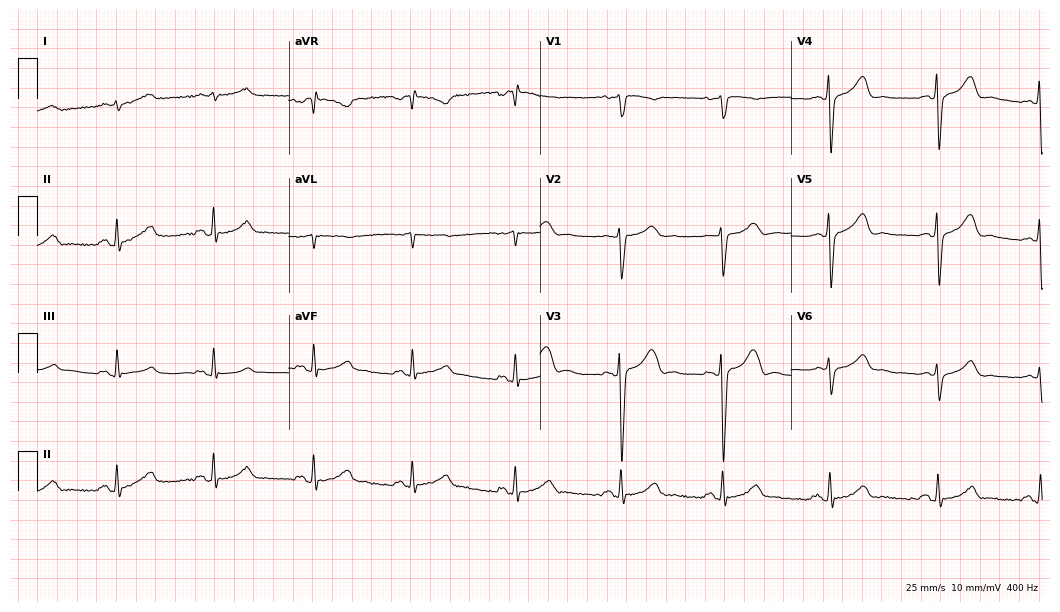
12-lead ECG from a man, 48 years old. No first-degree AV block, right bundle branch block, left bundle branch block, sinus bradycardia, atrial fibrillation or sinus tachycardia recorded for this tracing. Only these six findings were labelled.